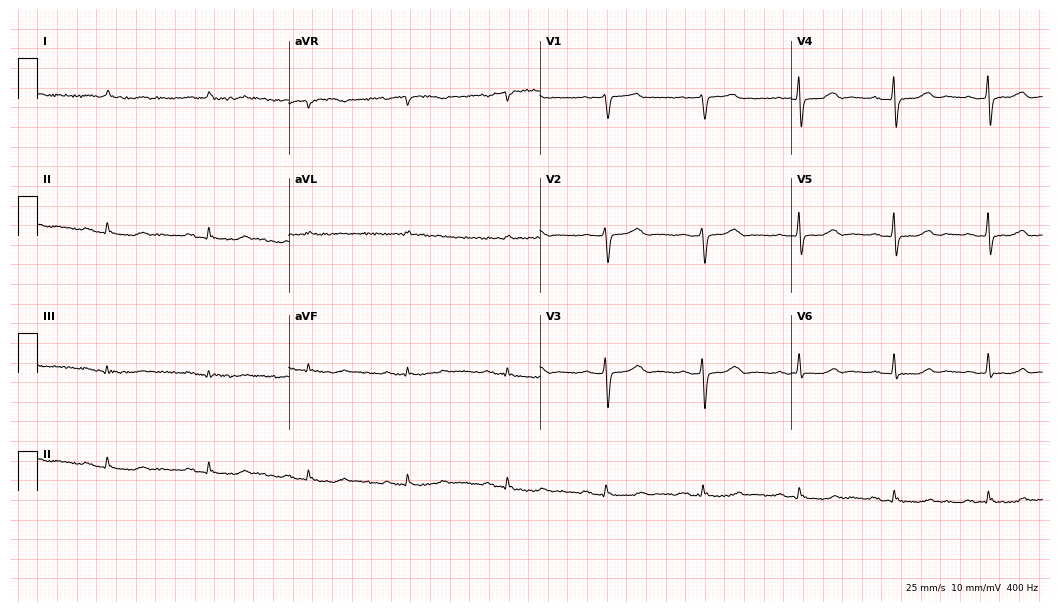
Standard 12-lead ECG recorded from an 82-year-old man. None of these six findings is recorded: first-degree AV block, right bundle branch block, left bundle branch block, sinus bradycardia, atrial fibrillation, sinus tachycardia.